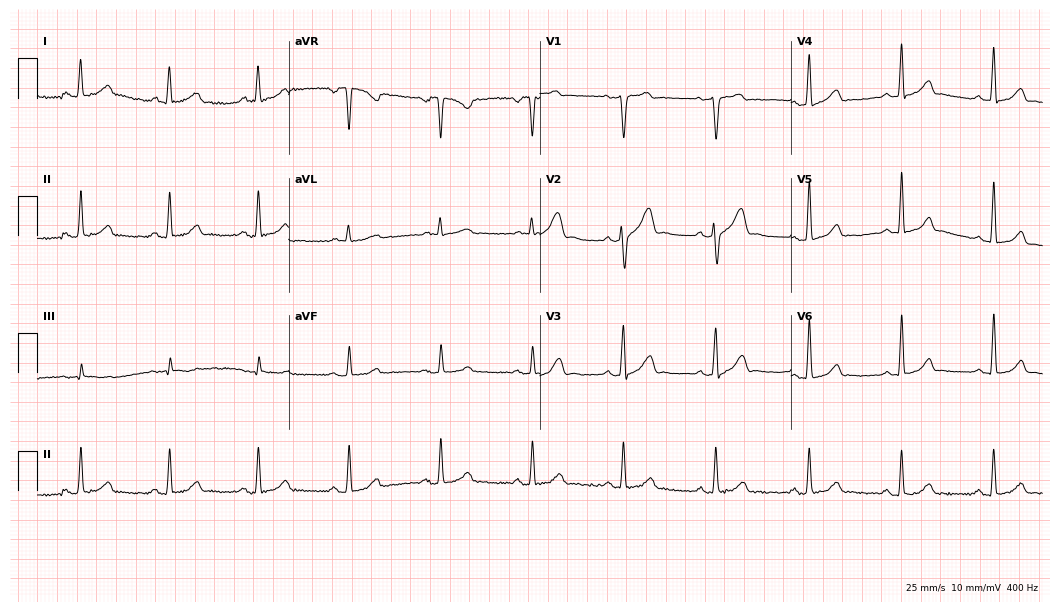
Standard 12-lead ECG recorded from a man, 59 years old. None of these six findings is recorded: first-degree AV block, right bundle branch block, left bundle branch block, sinus bradycardia, atrial fibrillation, sinus tachycardia.